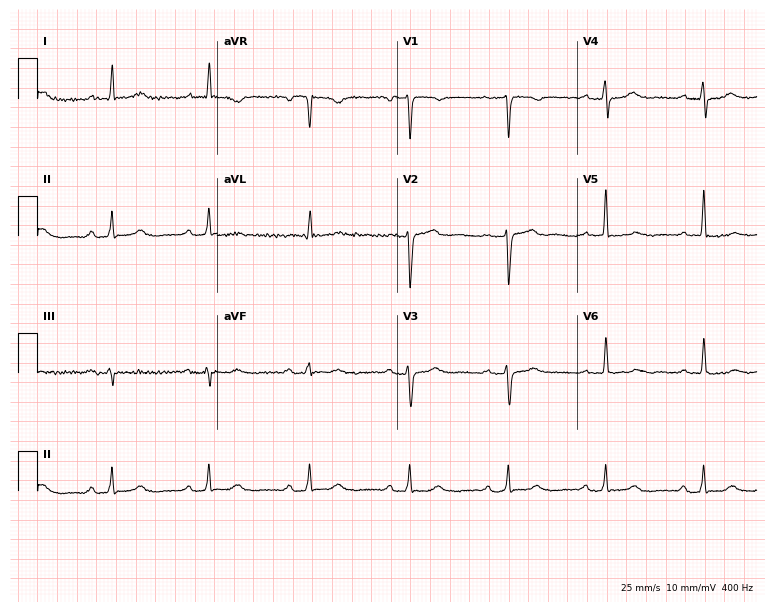
Standard 12-lead ECG recorded from a 57-year-old female patient. The tracing shows first-degree AV block.